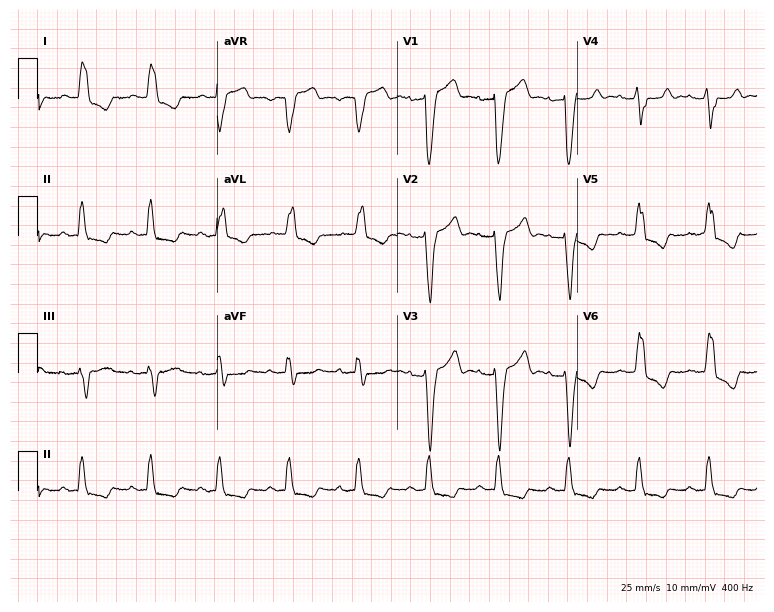
Resting 12-lead electrocardiogram (7.3-second recording at 400 Hz). Patient: a male, 77 years old. The tracing shows left bundle branch block.